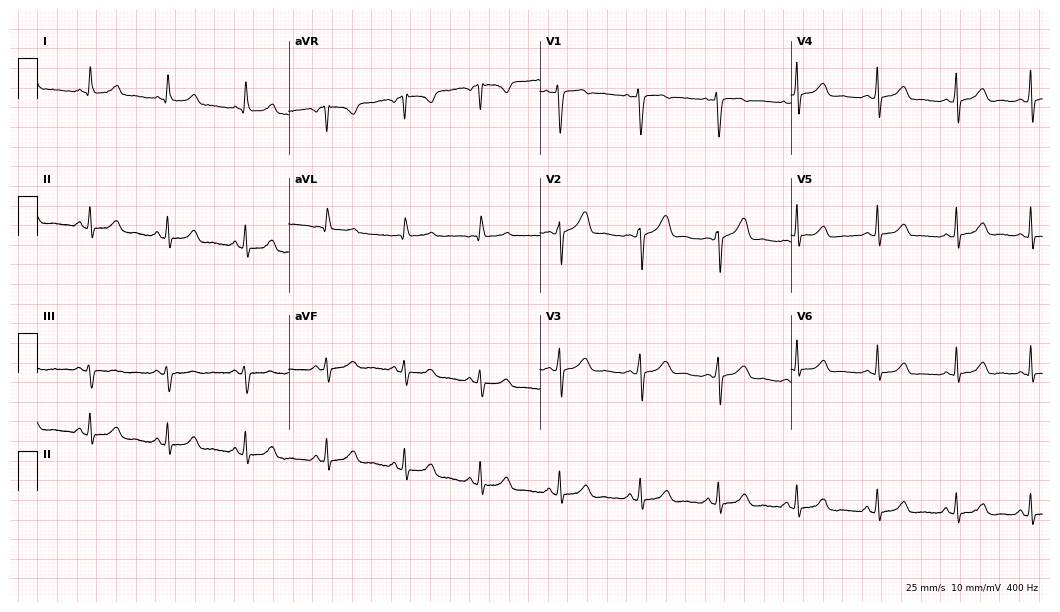
Electrocardiogram, a 33-year-old woman. Overall reading on record: normal ECG.